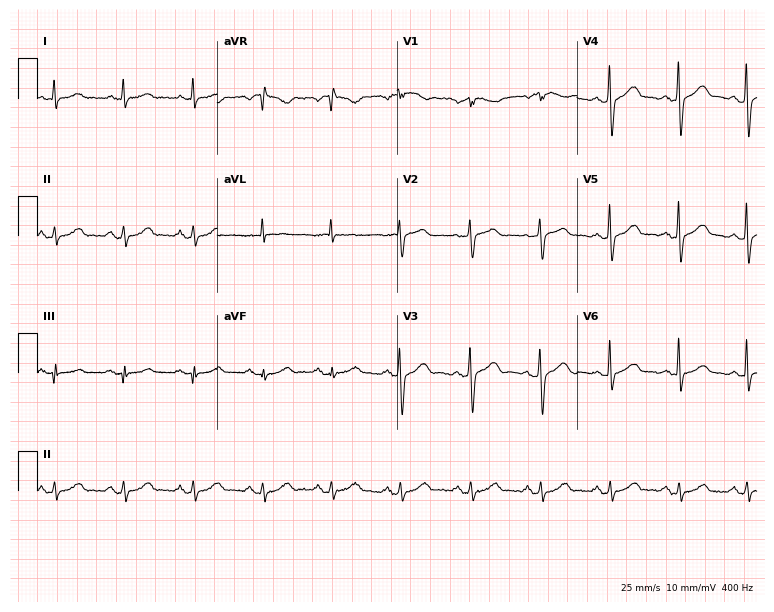
ECG (7.3-second recording at 400 Hz) — a man, 69 years old. Labelled as a normal ECG.